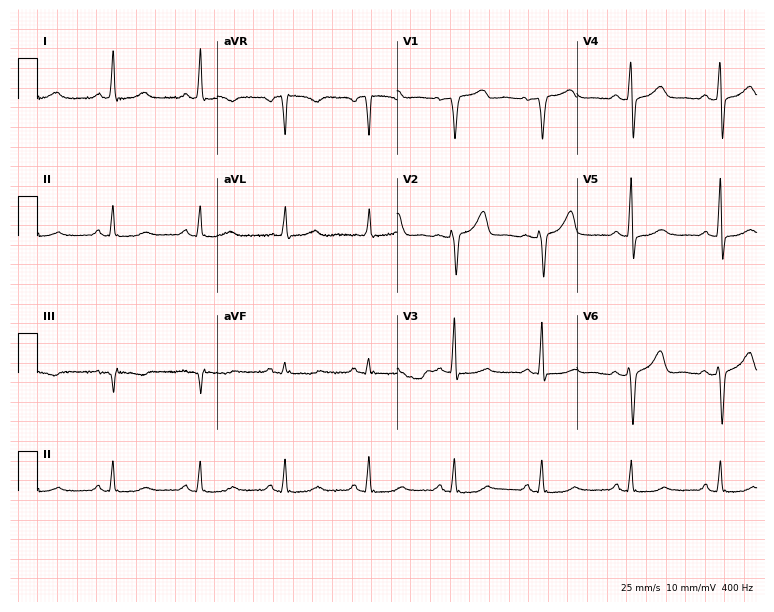
Resting 12-lead electrocardiogram. Patient: a 59-year-old woman. None of these six findings is recorded: first-degree AV block, right bundle branch block (RBBB), left bundle branch block (LBBB), sinus bradycardia, atrial fibrillation (AF), sinus tachycardia.